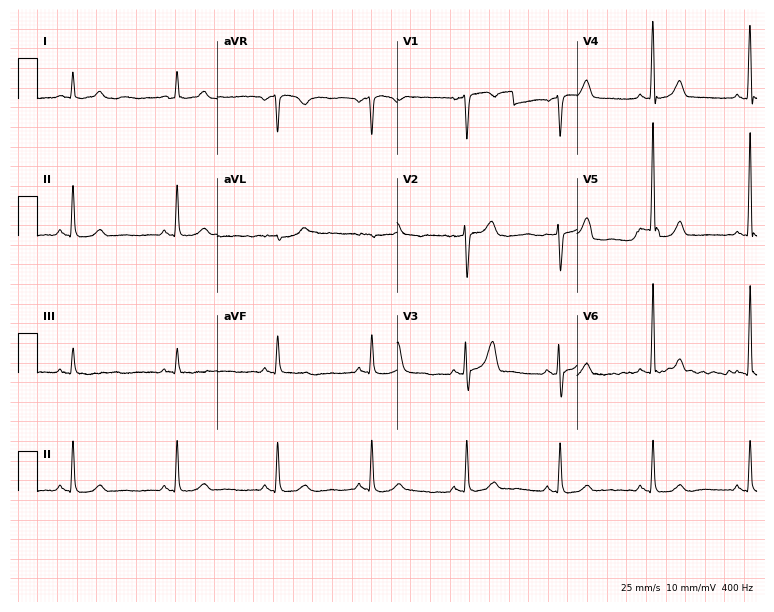
ECG — a 52-year-old female patient. Labelled as a normal ECG.